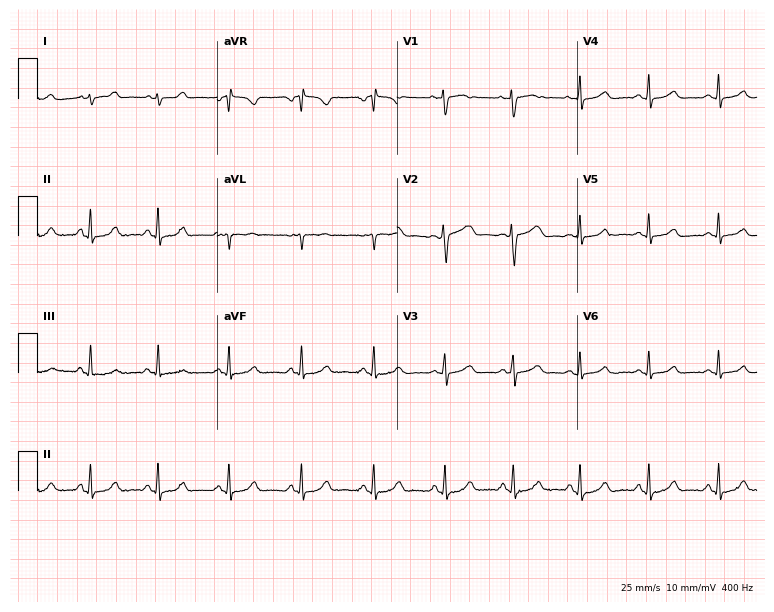
12-lead ECG from a 34-year-old female (7.3-second recording at 400 Hz). No first-degree AV block, right bundle branch block (RBBB), left bundle branch block (LBBB), sinus bradycardia, atrial fibrillation (AF) or sinus tachycardia recorded for this tracing. Other findings, if any, are not listed.